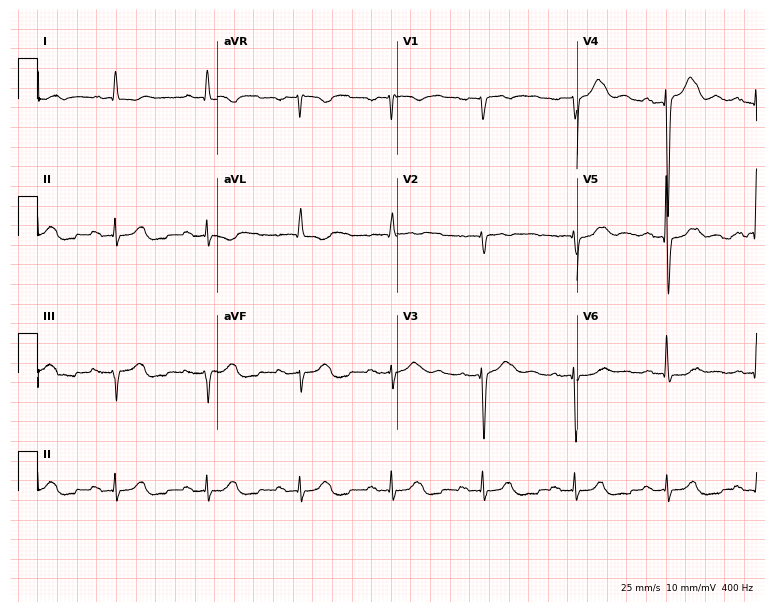
12-lead ECG (7.3-second recording at 400 Hz) from a woman, 86 years old. Screened for six findings — first-degree AV block, right bundle branch block, left bundle branch block, sinus bradycardia, atrial fibrillation, sinus tachycardia — none is recorded. Findings outside these six are not listed.